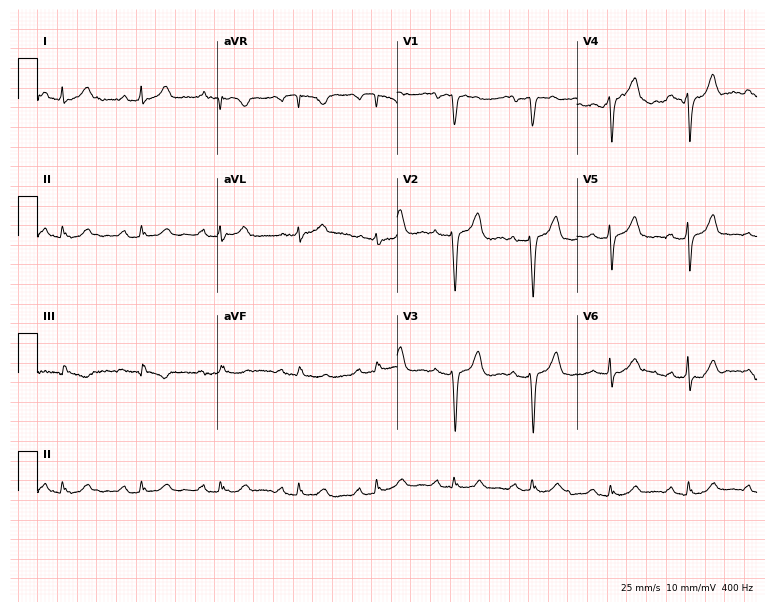
Electrocardiogram (7.3-second recording at 400 Hz), a 75-year-old female patient. Of the six screened findings (first-degree AV block, right bundle branch block (RBBB), left bundle branch block (LBBB), sinus bradycardia, atrial fibrillation (AF), sinus tachycardia), none is recorded. Only these six findings were labelled.